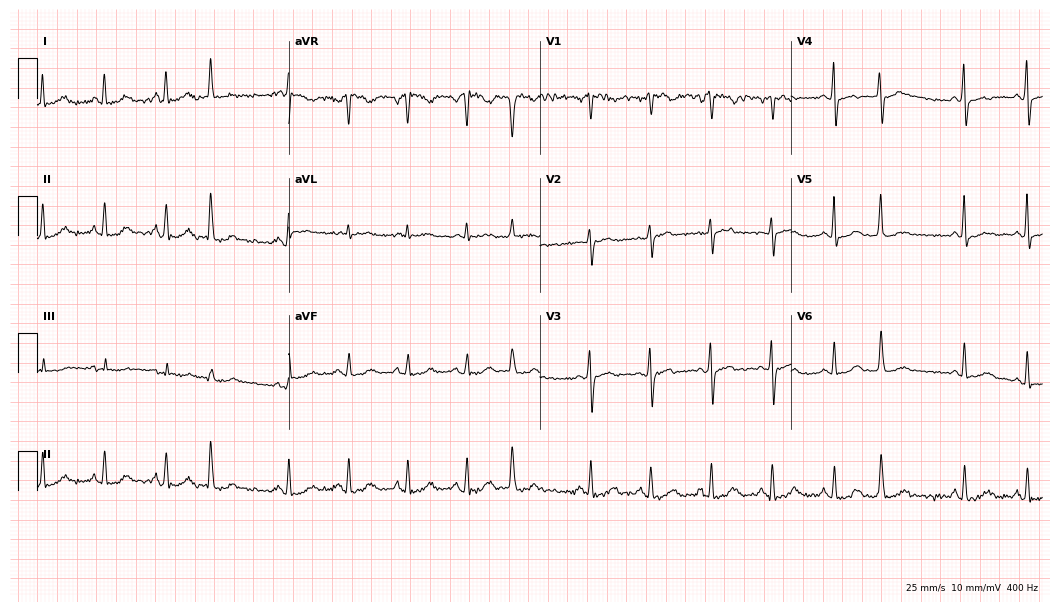
Electrocardiogram (10.2-second recording at 400 Hz), a 58-year-old female. Of the six screened findings (first-degree AV block, right bundle branch block, left bundle branch block, sinus bradycardia, atrial fibrillation, sinus tachycardia), none is recorded. Only these six findings were labelled.